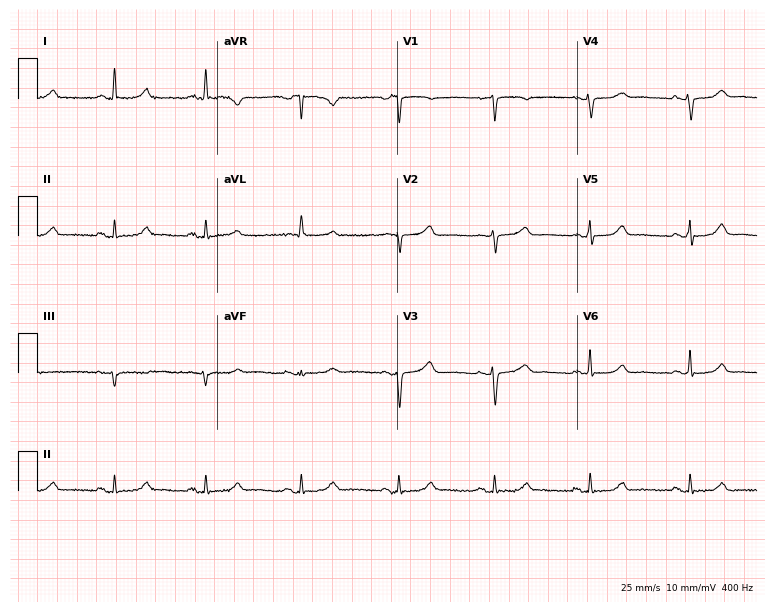
12-lead ECG from a 64-year-old woman (7.3-second recording at 400 Hz). Recorded interpretation: within normal limits.